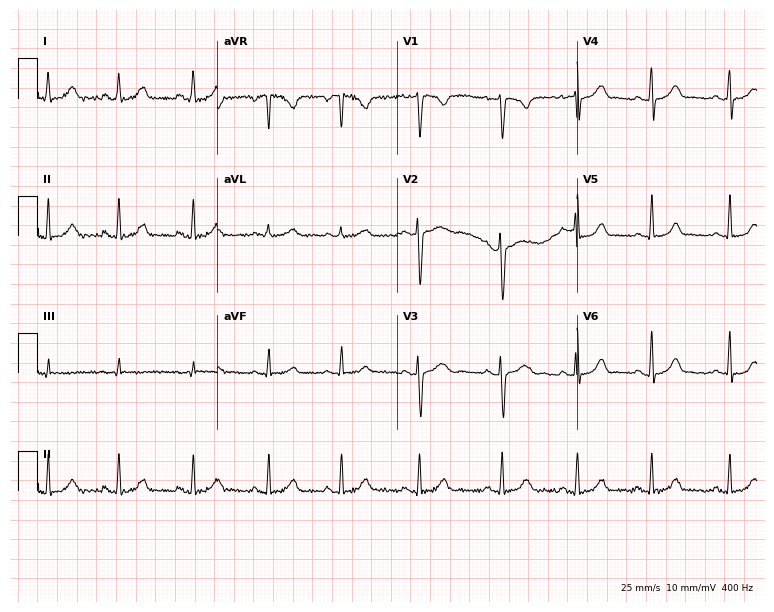
Standard 12-lead ECG recorded from a woman, 30 years old (7.3-second recording at 400 Hz). None of these six findings is recorded: first-degree AV block, right bundle branch block, left bundle branch block, sinus bradycardia, atrial fibrillation, sinus tachycardia. Other findings, if any, are not listed.